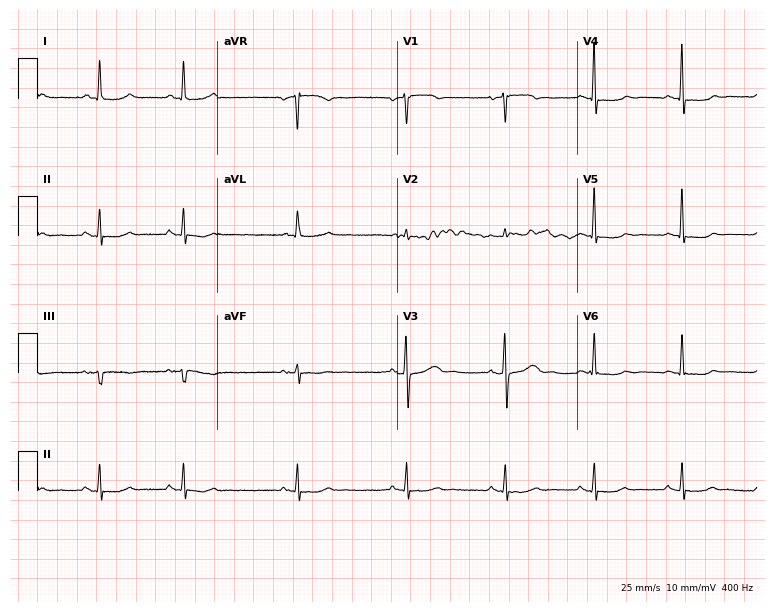
Electrocardiogram, an 83-year-old female patient. Of the six screened findings (first-degree AV block, right bundle branch block, left bundle branch block, sinus bradycardia, atrial fibrillation, sinus tachycardia), none is recorded. Other findings, if any, are not listed.